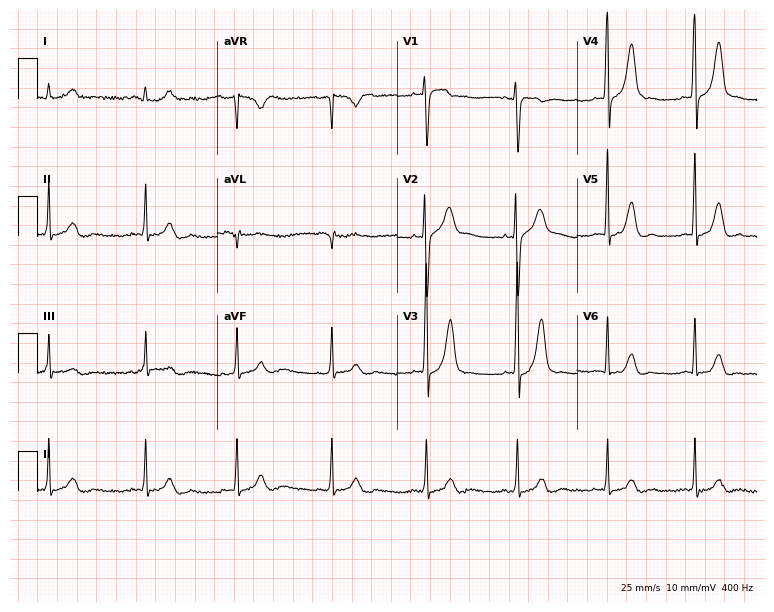
Resting 12-lead electrocardiogram (7.3-second recording at 400 Hz). Patient: a 20-year-old male. Read as a normal ECG.